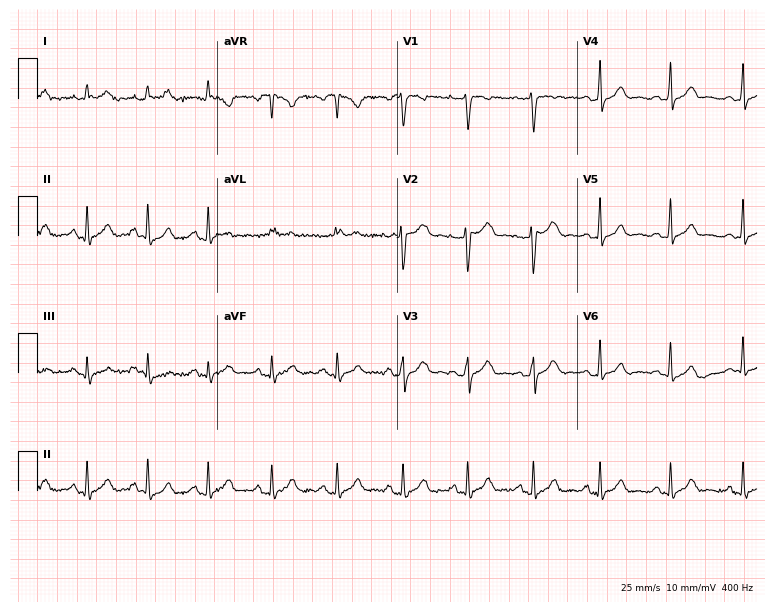
12-lead ECG from a 35-year-old female patient. Labelled as a normal ECG.